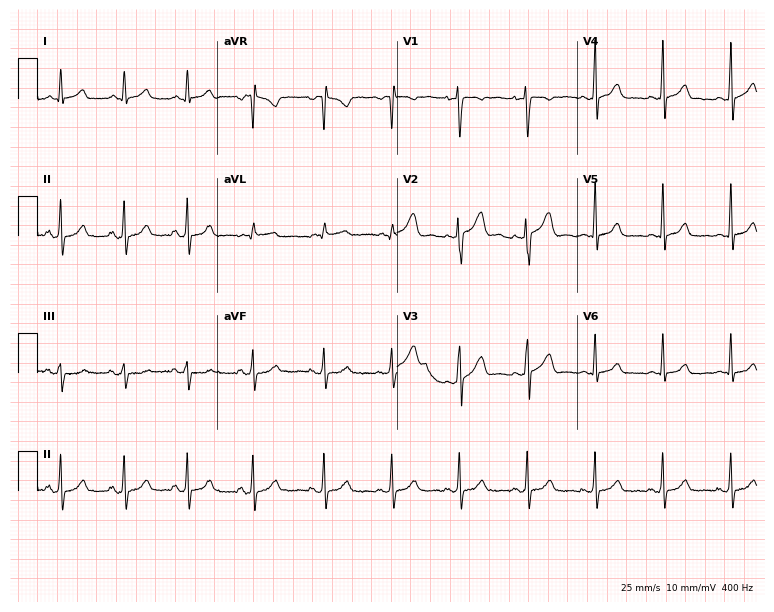
Resting 12-lead electrocardiogram. Patient: a 28-year-old female. None of these six findings is recorded: first-degree AV block, right bundle branch block, left bundle branch block, sinus bradycardia, atrial fibrillation, sinus tachycardia. Findings outside these six are not listed.